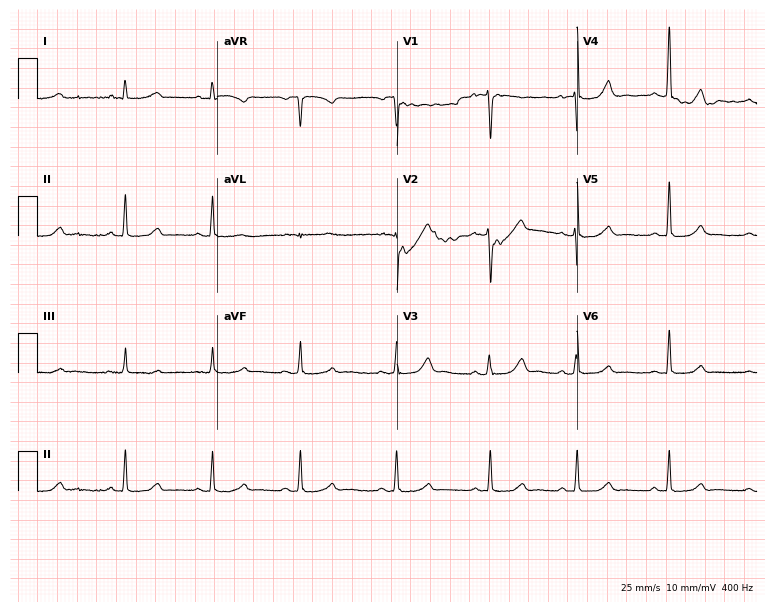
Standard 12-lead ECG recorded from a woman, 41 years old. Read as a normal ECG.